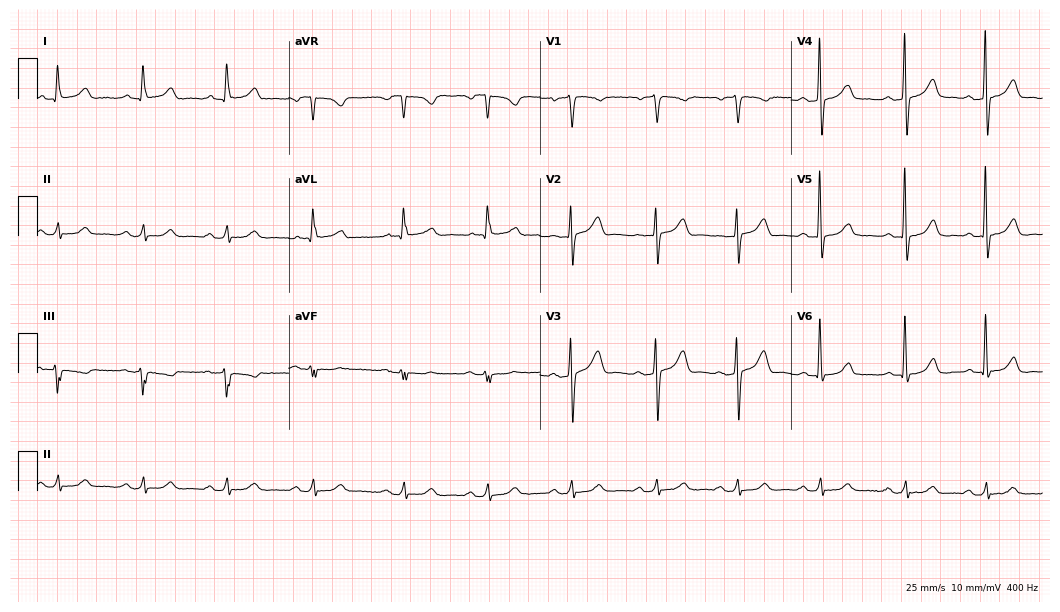
Resting 12-lead electrocardiogram (10.2-second recording at 400 Hz). Patient: a man, 68 years old. Read as a normal ECG.